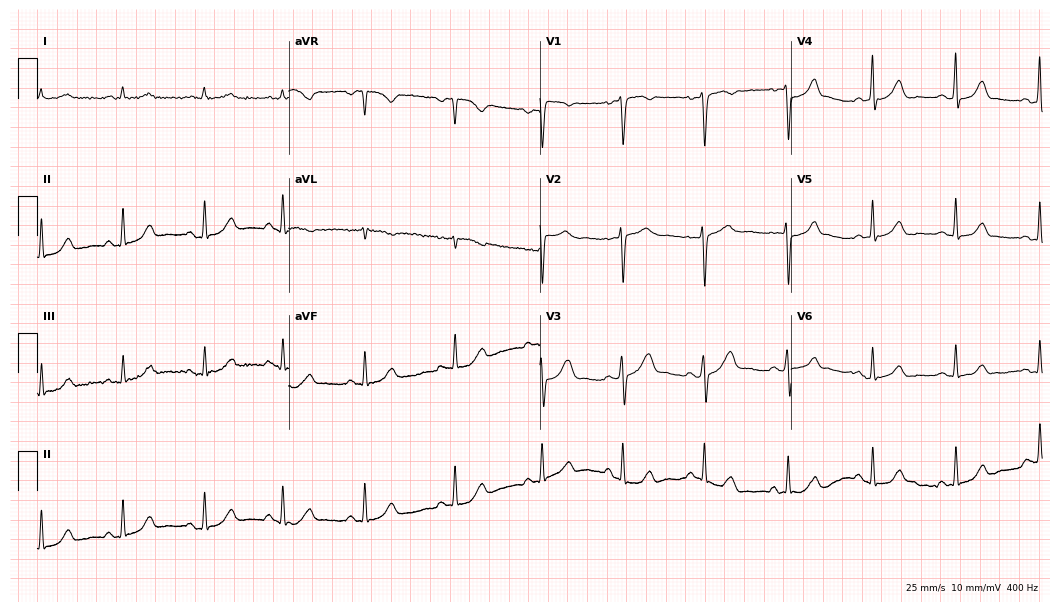
Resting 12-lead electrocardiogram (10.2-second recording at 400 Hz). Patient: a 30-year-old female. Read as a normal ECG.